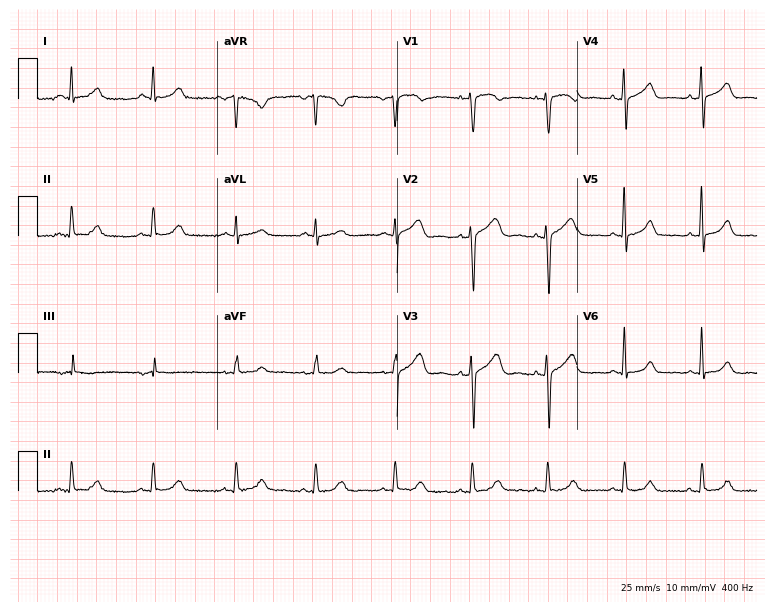
12-lead ECG from a 46-year-old female patient. No first-degree AV block, right bundle branch block, left bundle branch block, sinus bradycardia, atrial fibrillation or sinus tachycardia recorded for this tracing.